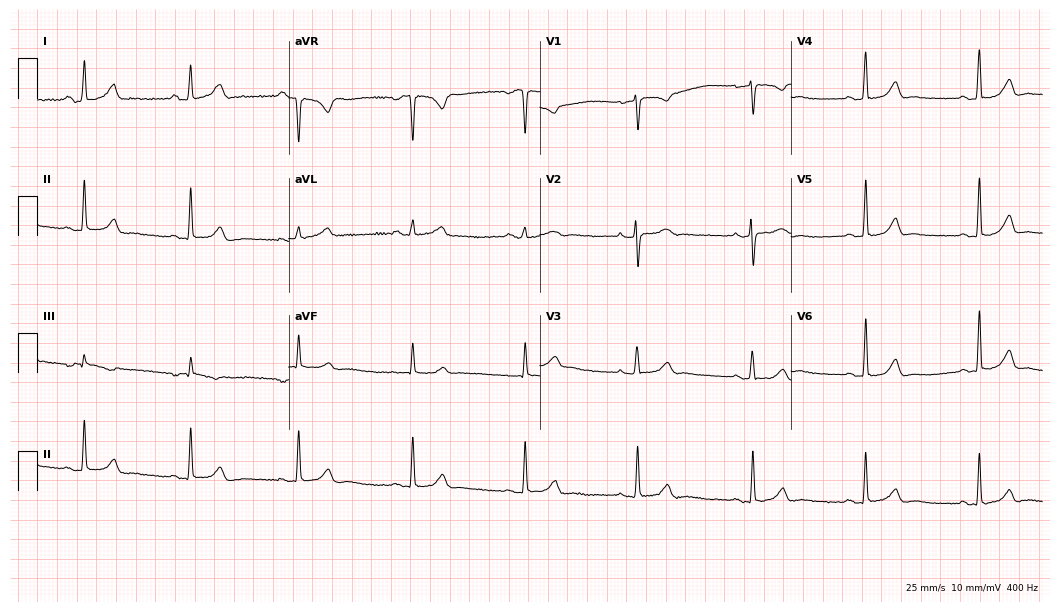
Standard 12-lead ECG recorded from a 42-year-old woman (10.2-second recording at 400 Hz). Read as a normal ECG.